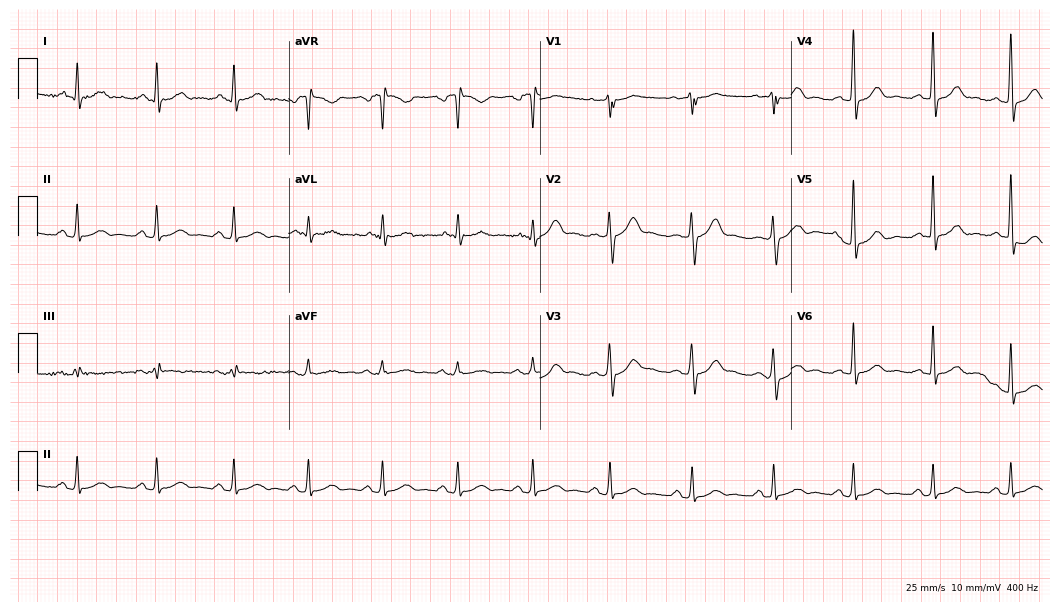
ECG — a male patient, 59 years old. Labelled as a normal ECG.